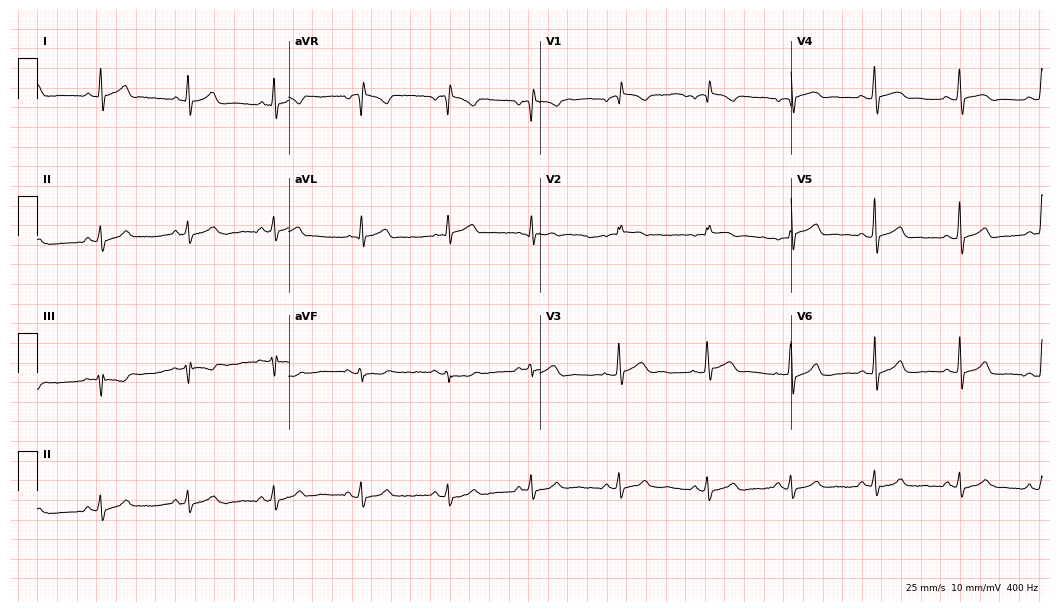
12-lead ECG (10.2-second recording at 400 Hz) from a female, 34 years old. Screened for six findings — first-degree AV block, right bundle branch block (RBBB), left bundle branch block (LBBB), sinus bradycardia, atrial fibrillation (AF), sinus tachycardia — none is recorded.